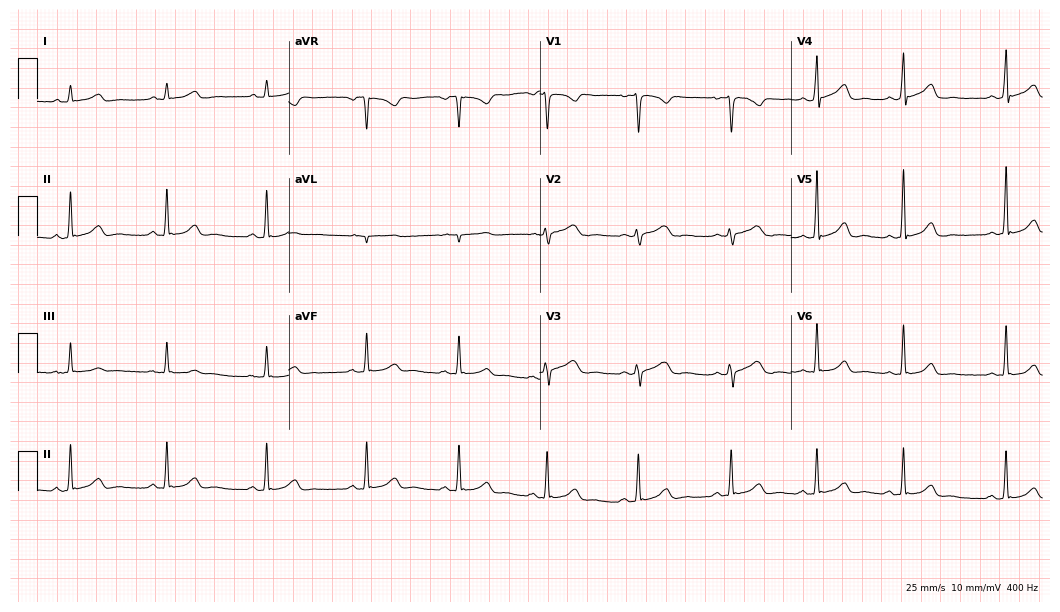
Resting 12-lead electrocardiogram. Patient: a female, 20 years old. Read as a normal ECG.